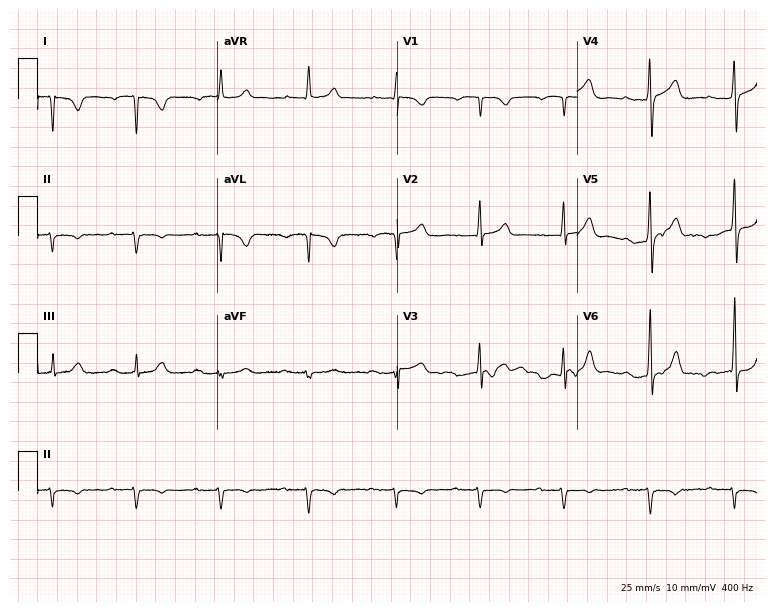
Standard 12-lead ECG recorded from a man, 80 years old (7.3-second recording at 400 Hz). None of these six findings is recorded: first-degree AV block, right bundle branch block, left bundle branch block, sinus bradycardia, atrial fibrillation, sinus tachycardia.